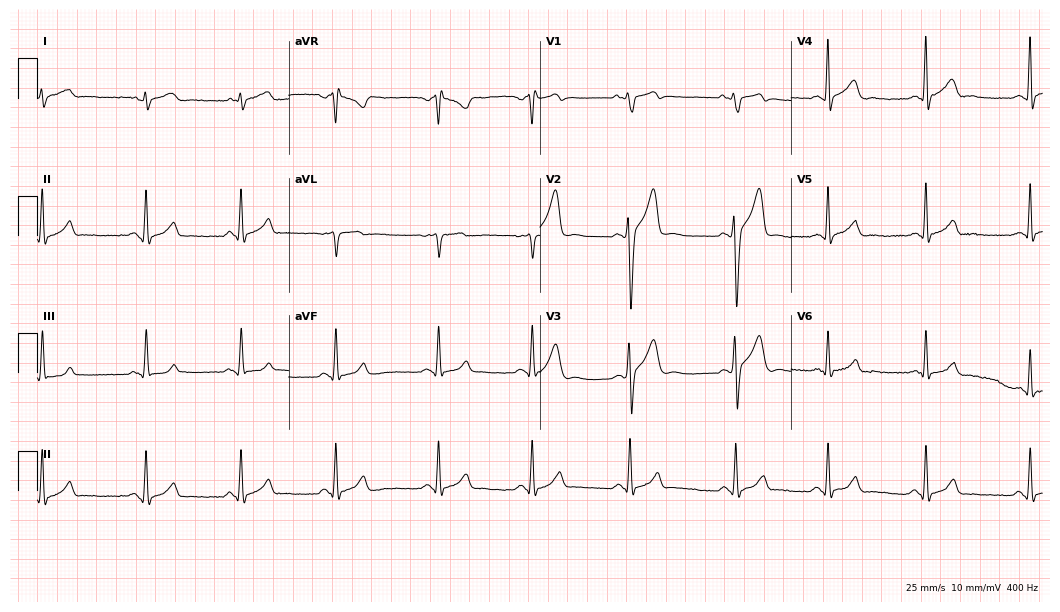
12-lead ECG (10.2-second recording at 400 Hz) from a 21-year-old male. Labelled as a normal ECG.